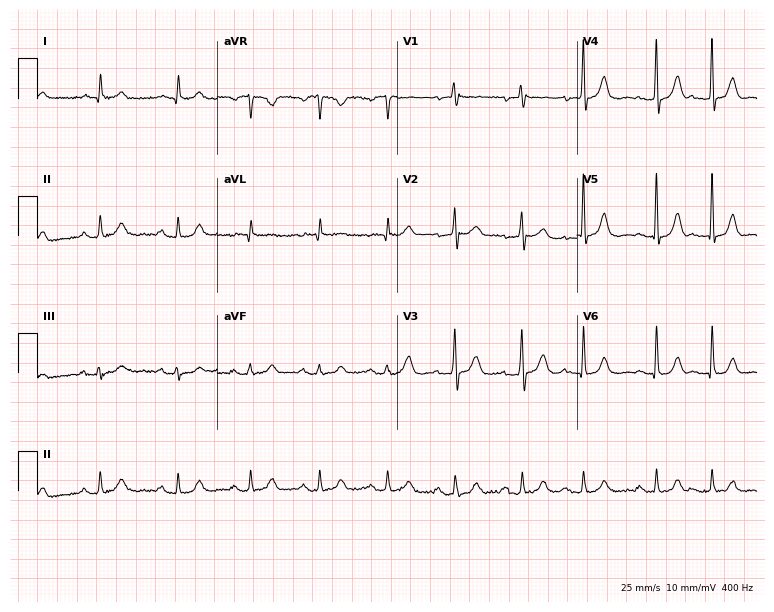
12-lead ECG from a male patient, 85 years old. Screened for six findings — first-degree AV block, right bundle branch block, left bundle branch block, sinus bradycardia, atrial fibrillation, sinus tachycardia — none is recorded. Only these six findings were labelled.